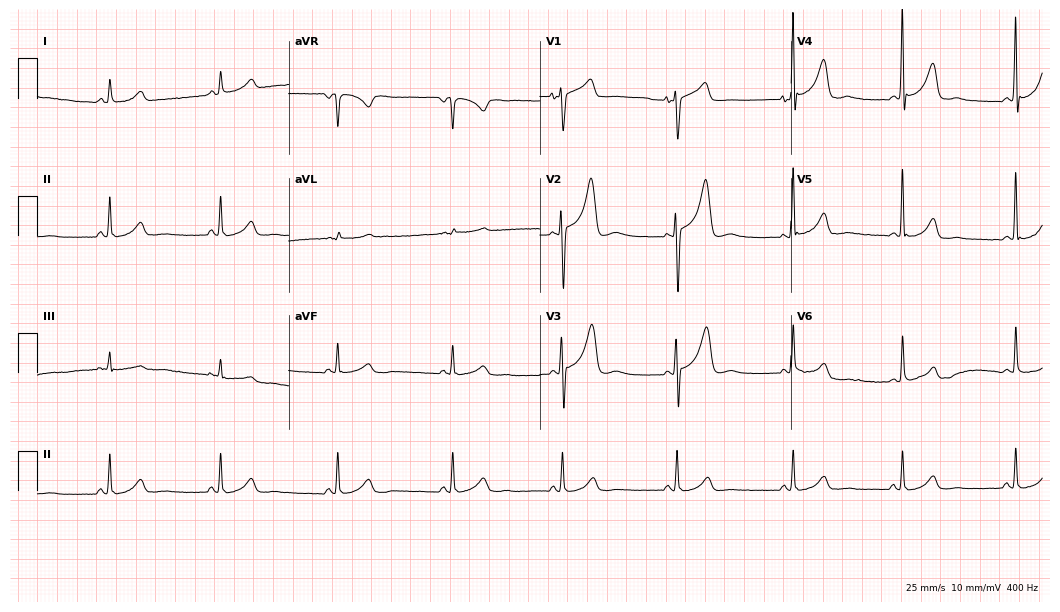
12-lead ECG from a female patient, 74 years old. Screened for six findings — first-degree AV block, right bundle branch block, left bundle branch block, sinus bradycardia, atrial fibrillation, sinus tachycardia — none is recorded.